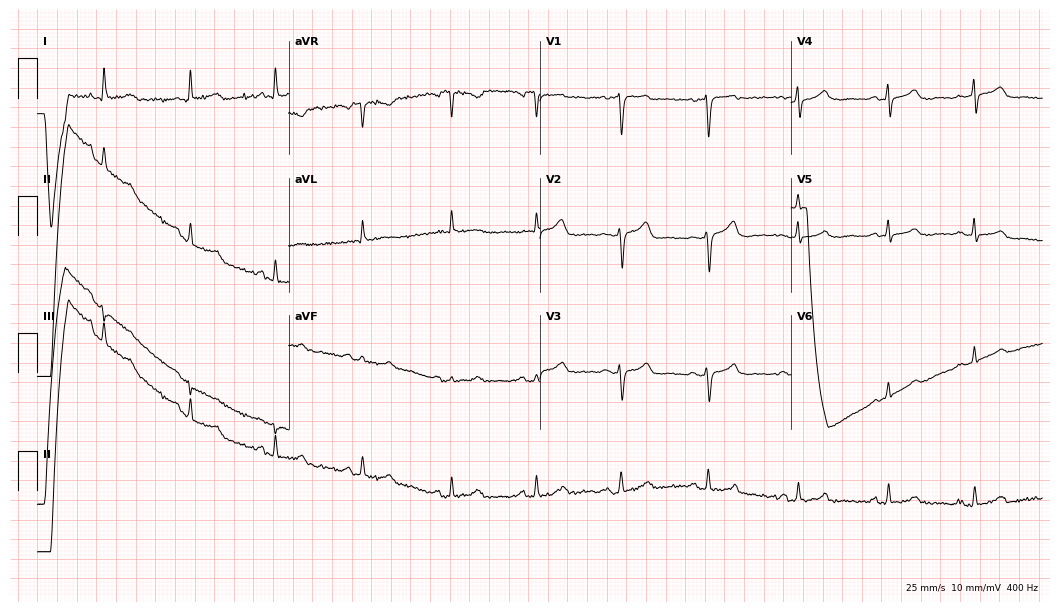
Electrocardiogram (10.2-second recording at 400 Hz), a 66-year-old female. Overall reading on record: normal ECG.